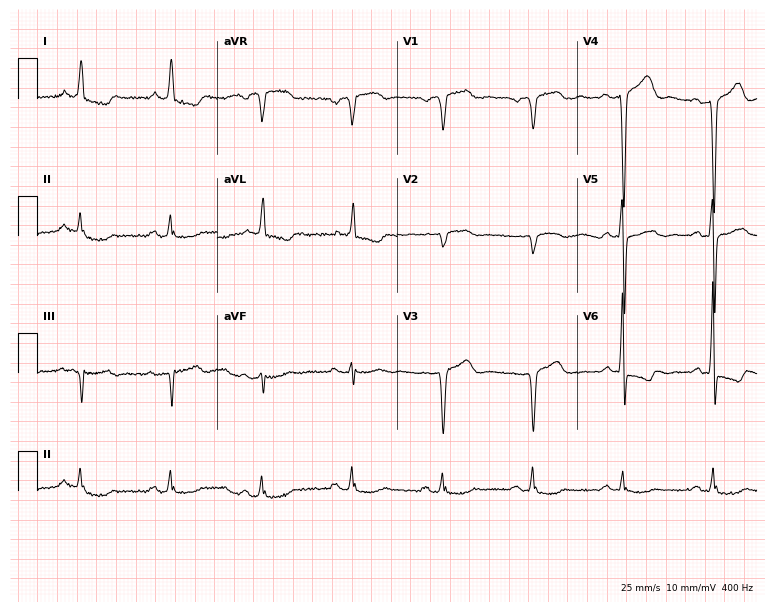
12-lead ECG from a 77-year-old man. Screened for six findings — first-degree AV block, right bundle branch block, left bundle branch block, sinus bradycardia, atrial fibrillation, sinus tachycardia — none is recorded. Only these six findings were labelled.